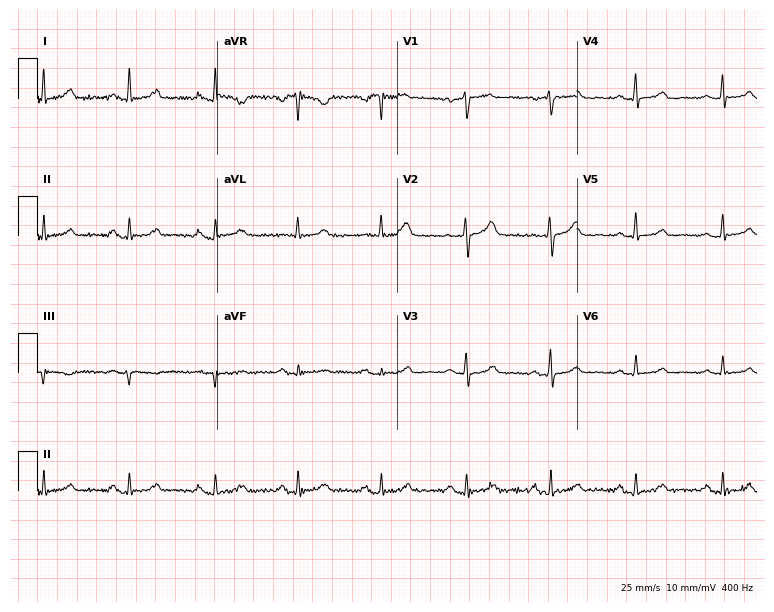
ECG — a female patient, 51 years old. Screened for six findings — first-degree AV block, right bundle branch block (RBBB), left bundle branch block (LBBB), sinus bradycardia, atrial fibrillation (AF), sinus tachycardia — none is recorded. Other findings, if any, are not listed.